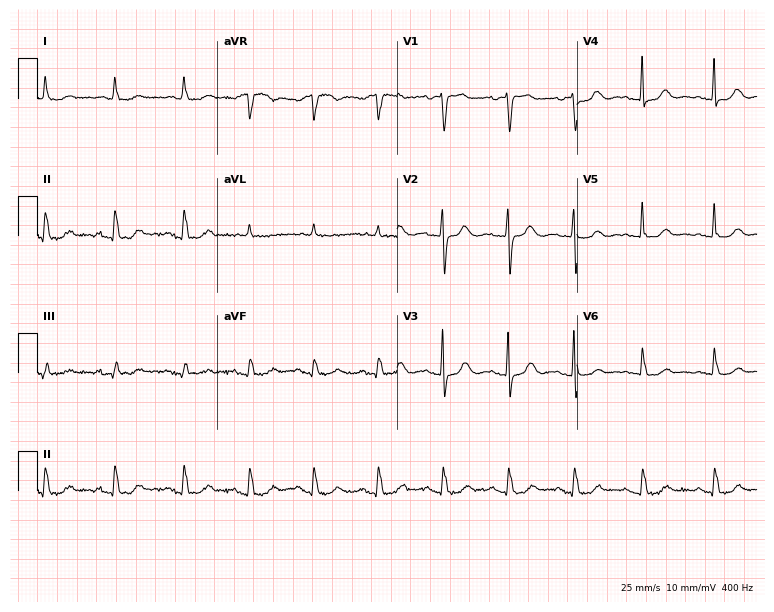
Standard 12-lead ECG recorded from a 74-year-old female (7.3-second recording at 400 Hz). Read as a normal ECG.